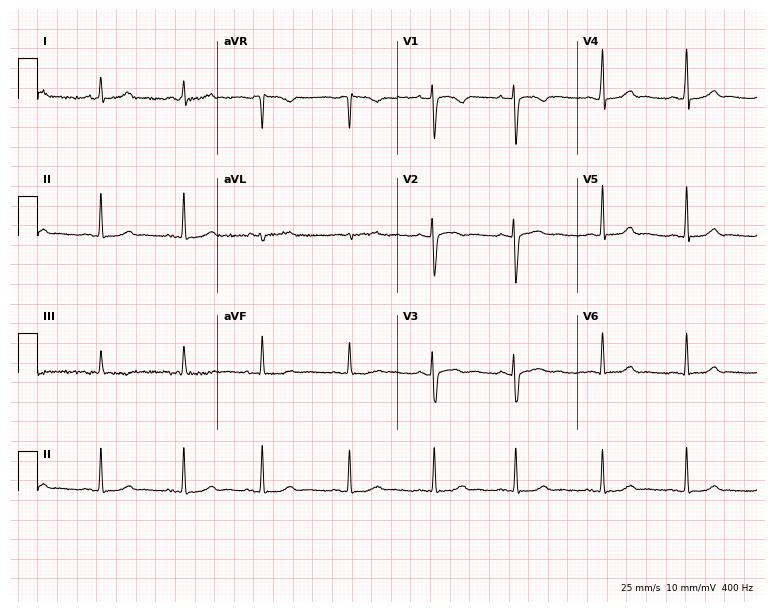
Electrocardiogram, a woman, 28 years old. Of the six screened findings (first-degree AV block, right bundle branch block, left bundle branch block, sinus bradycardia, atrial fibrillation, sinus tachycardia), none is recorded. Findings outside these six are not listed.